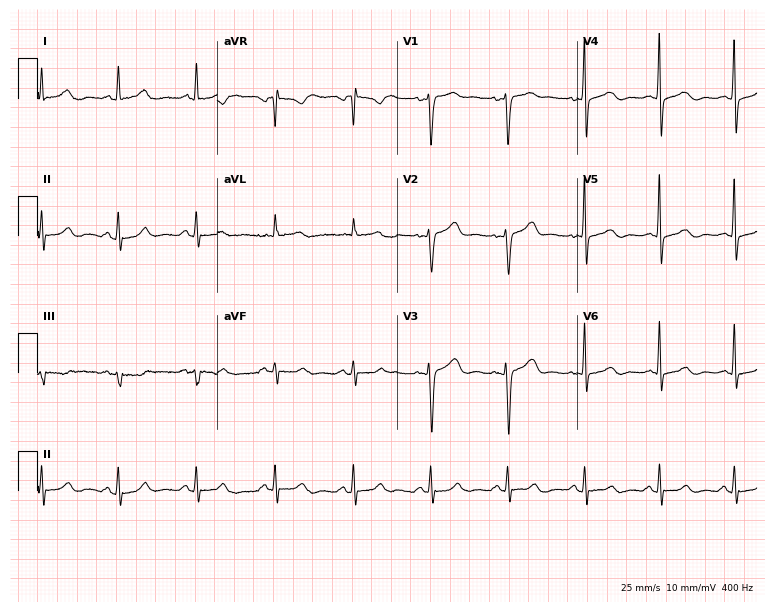
Electrocardiogram (7.3-second recording at 400 Hz), a woman, 44 years old. Of the six screened findings (first-degree AV block, right bundle branch block, left bundle branch block, sinus bradycardia, atrial fibrillation, sinus tachycardia), none is recorded. Other findings, if any, are not listed.